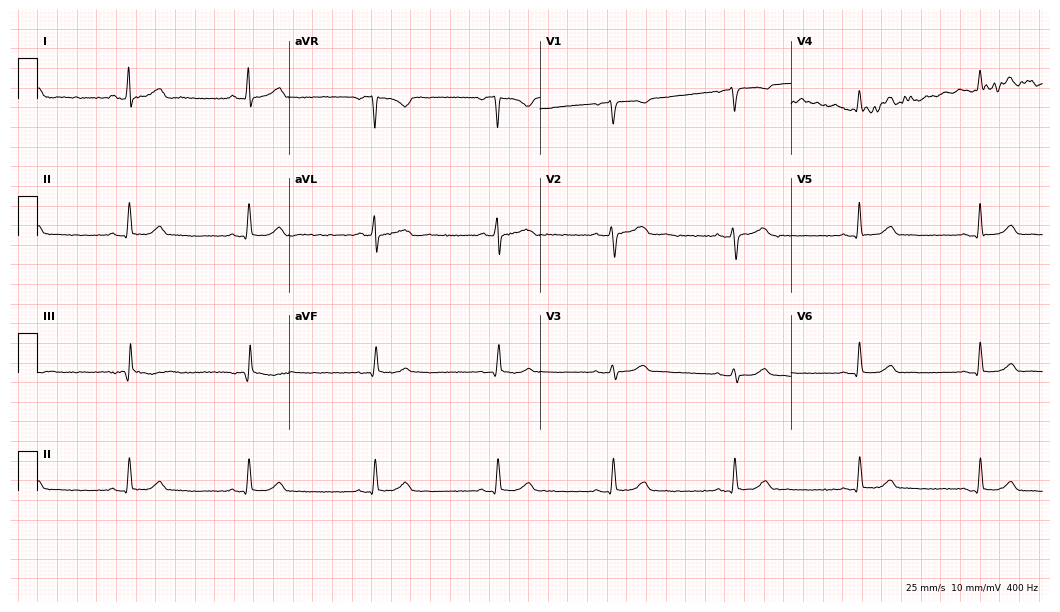
Standard 12-lead ECG recorded from a female patient, 43 years old. The tracing shows sinus bradycardia (a sinus rate of 50 beats per minute or less).